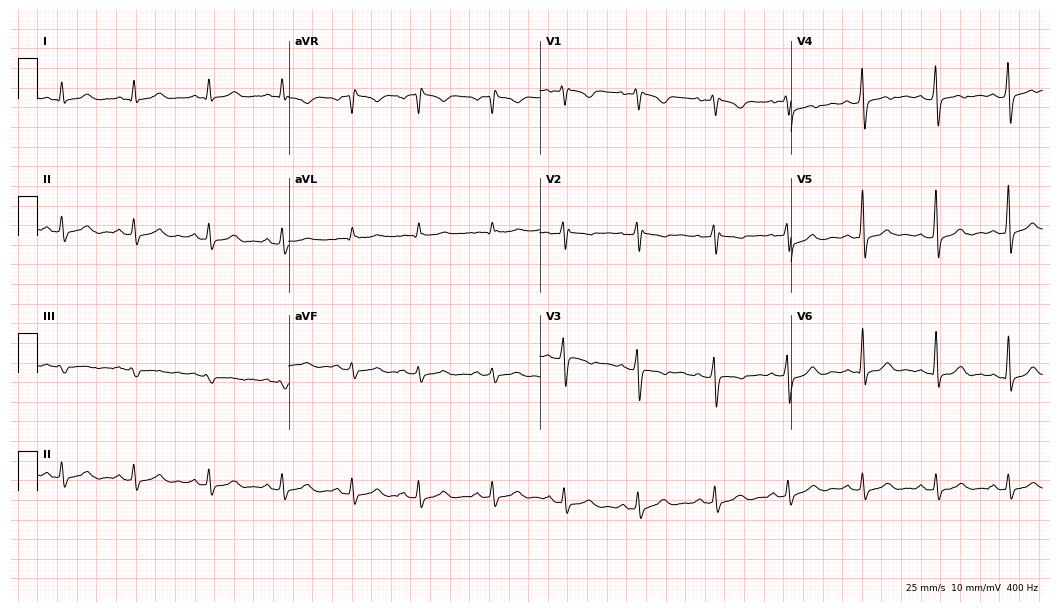
12-lead ECG from a 27-year-old female patient (10.2-second recording at 400 Hz). No first-degree AV block, right bundle branch block, left bundle branch block, sinus bradycardia, atrial fibrillation or sinus tachycardia recorded for this tracing.